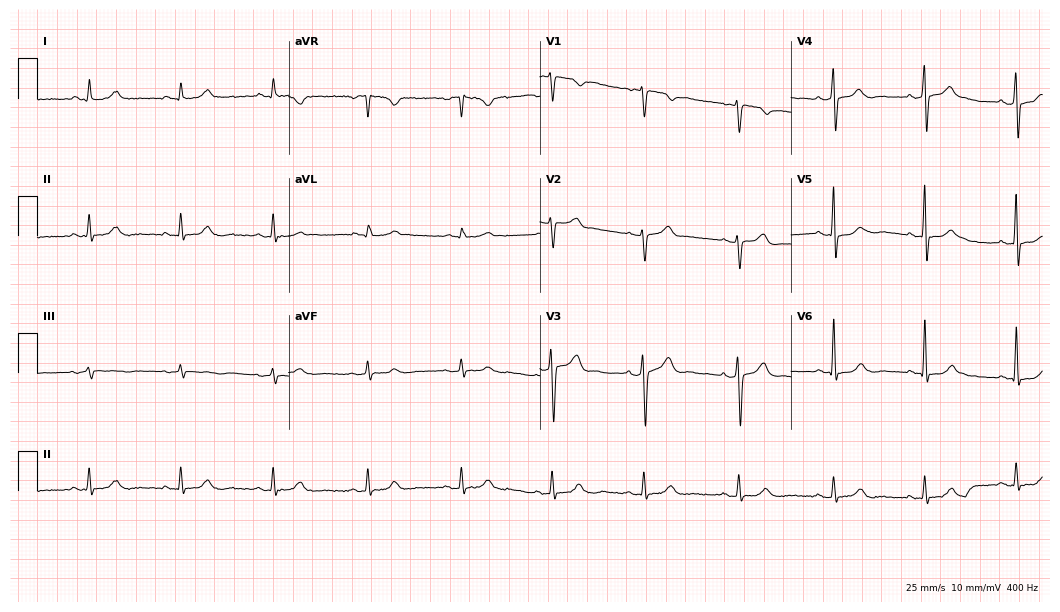
Standard 12-lead ECG recorded from a 52-year-old male. Read as a normal ECG.